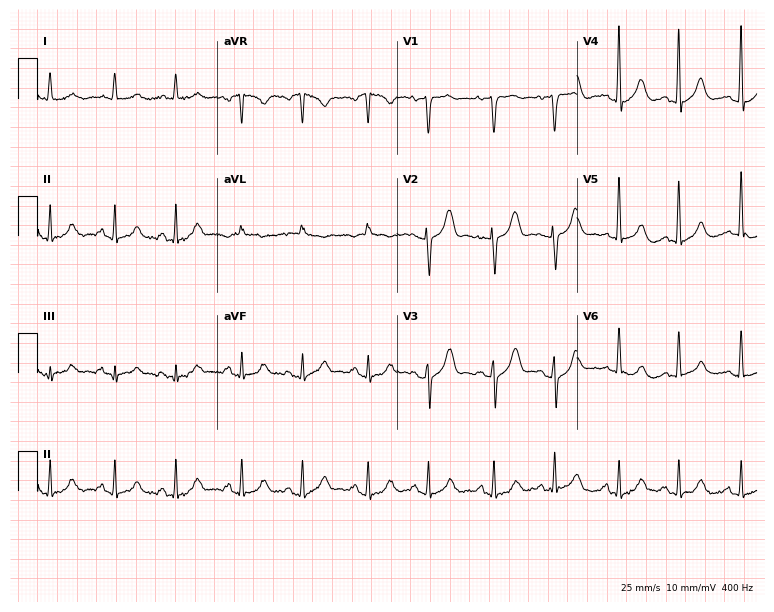
Resting 12-lead electrocardiogram. Patient: a 59-year-old female. None of these six findings is recorded: first-degree AV block, right bundle branch block (RBBB), left bundle branch block (LBBB), sinus bradycardia, atrial fibrillation (AF), sinus tachycardia.